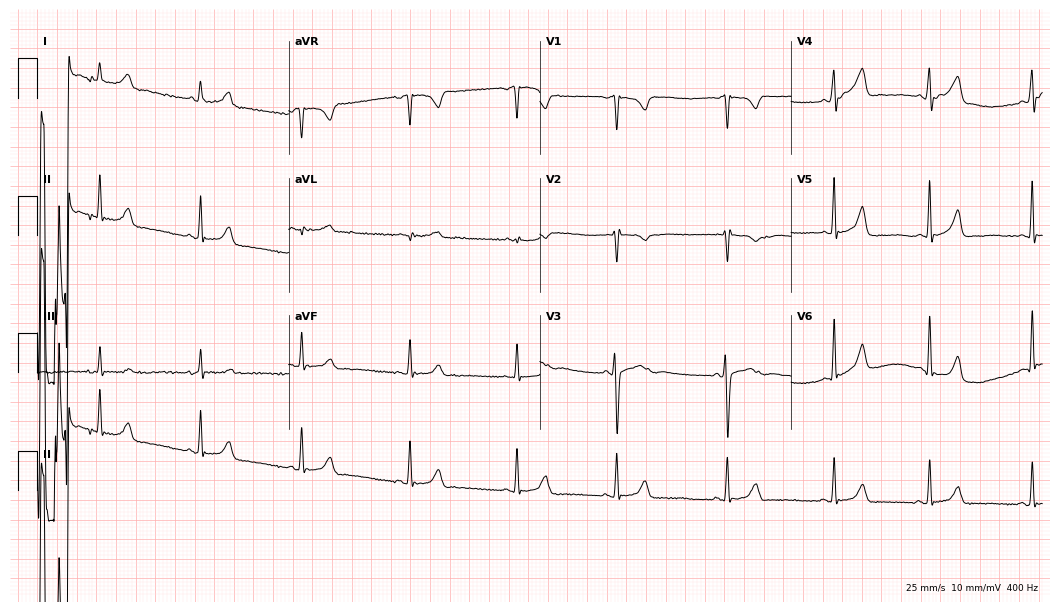
12-lead ECG from a 23-year-old woman (10.2-second recording at 400 Hz). No first-degree AV block, right bundle branch block, left bundle branch block, sinus bradycardia, atrial fibrillation or sinus tachycardia recorded for this tracing. Other findings, if any, are not listed.